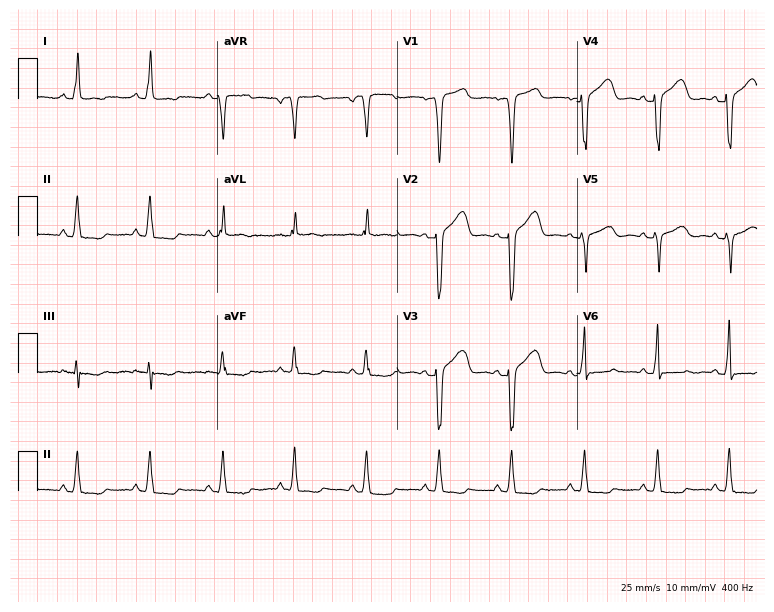
Resting 12-lead electrocardiogram. Patient: a female, 56 years old. None of these six findings is recorded: first-degree AV block, right bundle branch block, left bundle branch block, sinus bradycardia, atrial fibrillation, sinus tachycardia. Findings outside these six are not listed.